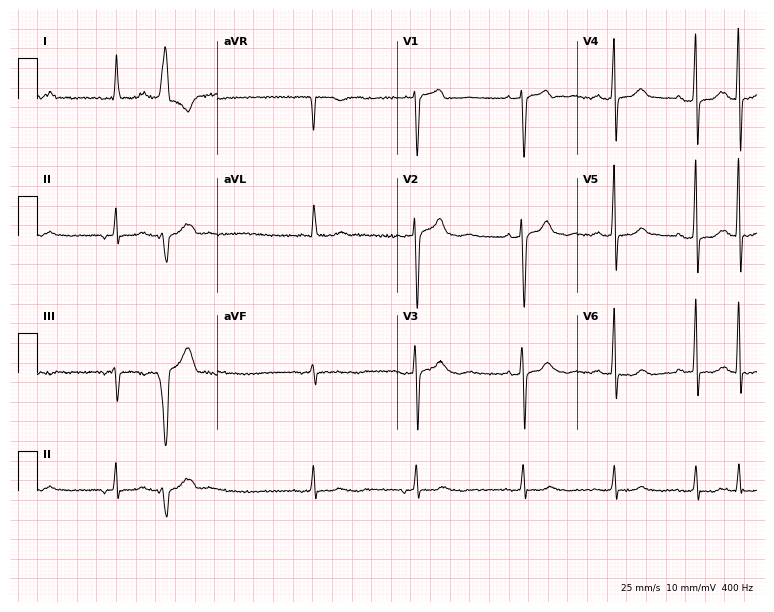
ECG (7.3-second recording at 400 Hz) — a female patient, 82 years old. Screened for six findings — first-degree AV block, right bundle branch block (RBBB), left bundle branch block (LBBB), sinus bradycardia, atrial fibrillation (AF), sinus tachycardia — none is recorded. Findings outside these six are not listed.